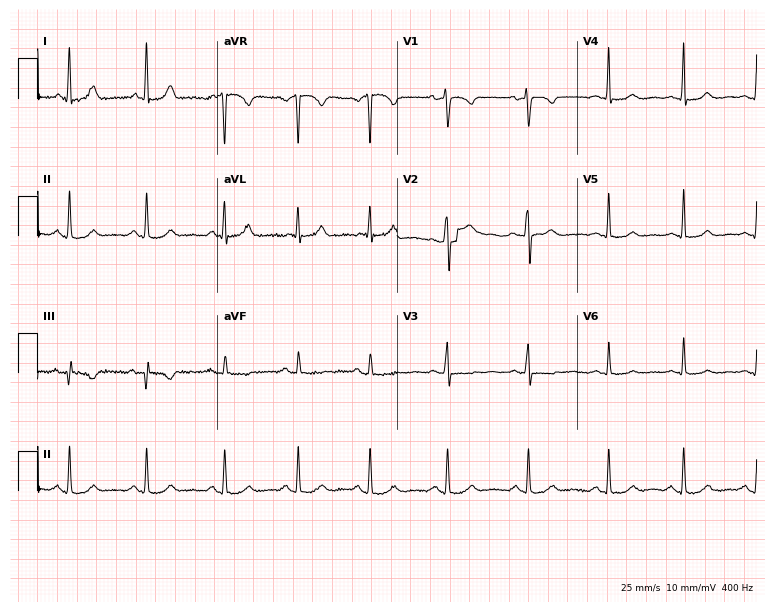
Resting 12-lead electrocardiogram. Patient: a 38-year-old female. None of these six findings is recorded: first-degree AV block, right bundle branch block, left bundle branch block, sinus bradycardia, atrial fibrillation, sinus tachycardia. Only these six findings were labelled.